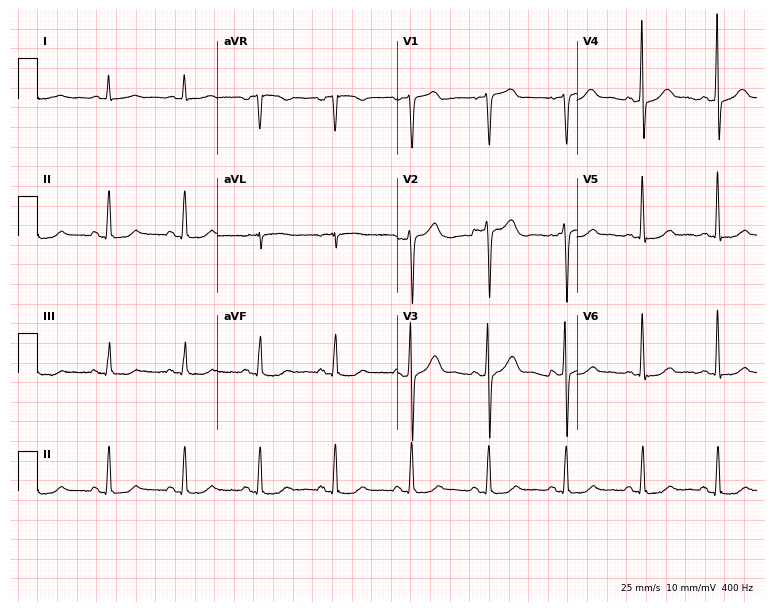
ECG — a 70-year-old man. Screened for six findings — first-degree AV block, right bundle branch block (RBBB), left bundle branch block (LBBB), sinus bradycardia, atrial fibrillation (AF), sinus tachycardia — none is recorded. Only these six findings were labelled.